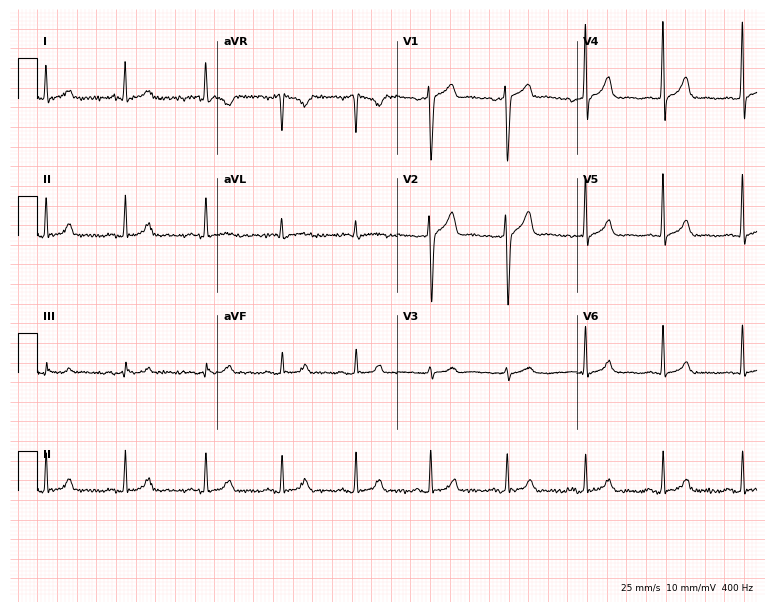
Standard 12-lead ECG recorded from a man, 29 years old (7.3-second recording at 400 Hz). Read as a normal ECG.